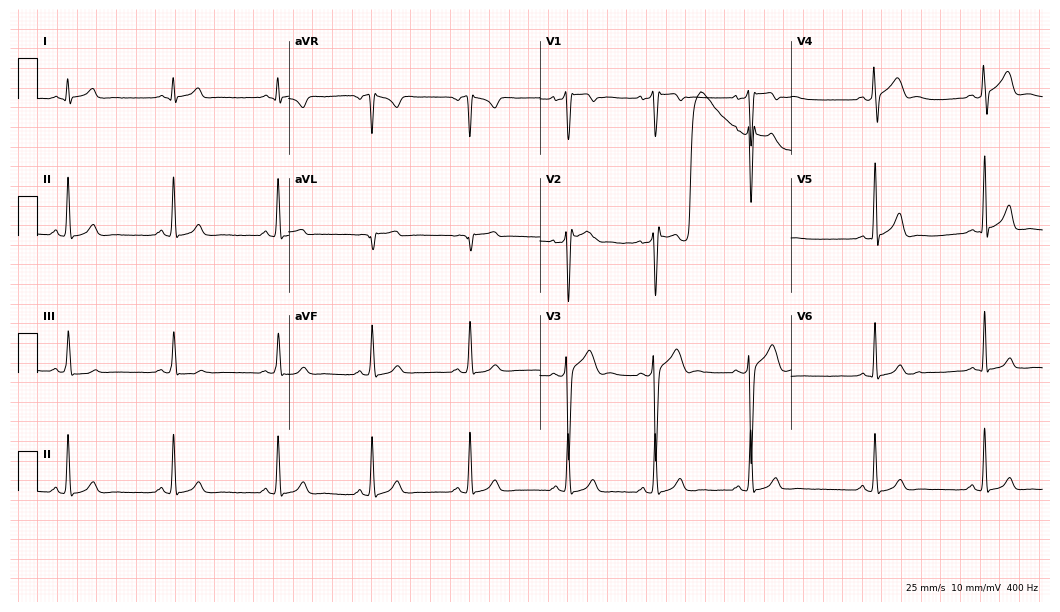
12-lead ECG (10.2-second recording at 400 Hz) from a 28-year-old male patient. Screened for six findings — first-degree AV block, right bundle branch block, left bundle branch block, sinus bradycardia, atrial fibrillation, sinus tachycardia — none is recorded. Findings outside these six are not listed.